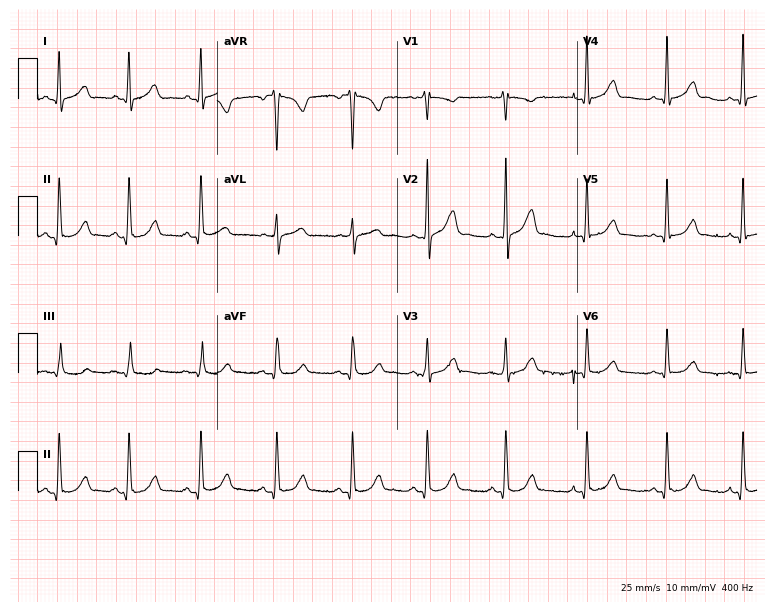
Standard 12-lead ECG recorded from a female, 34 years old. Read as a normal ECG.